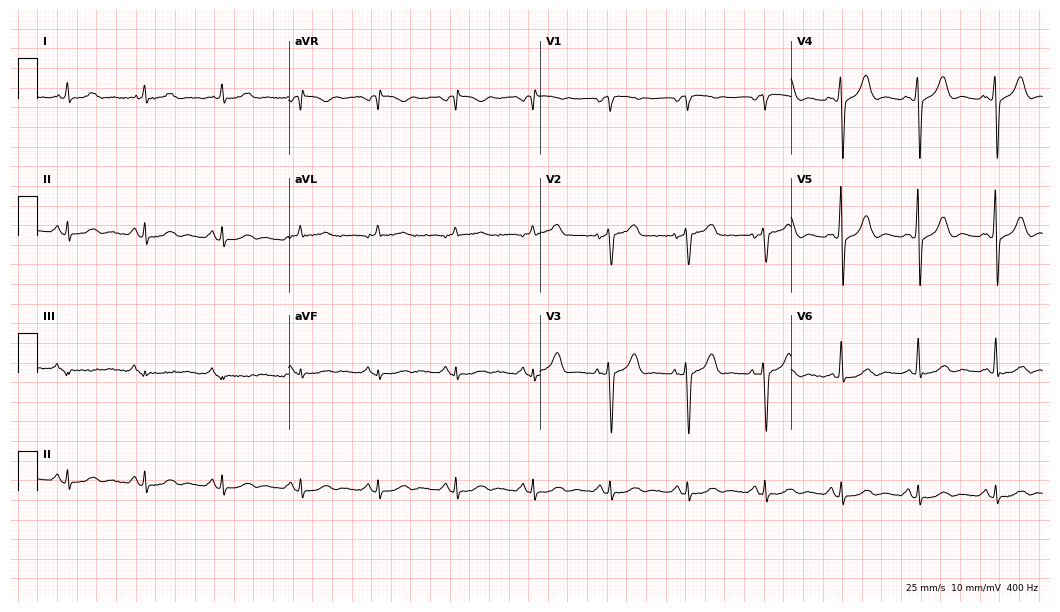
Electrocardiogram, a 77-year-old male. Of the six screened findings (first-degree AV block, right bundle branch block, left bundle branch block, sinus bradycardia, atrial fibrillation, sinus tachycardia), none is recorded. Findings outside these six are not listed.